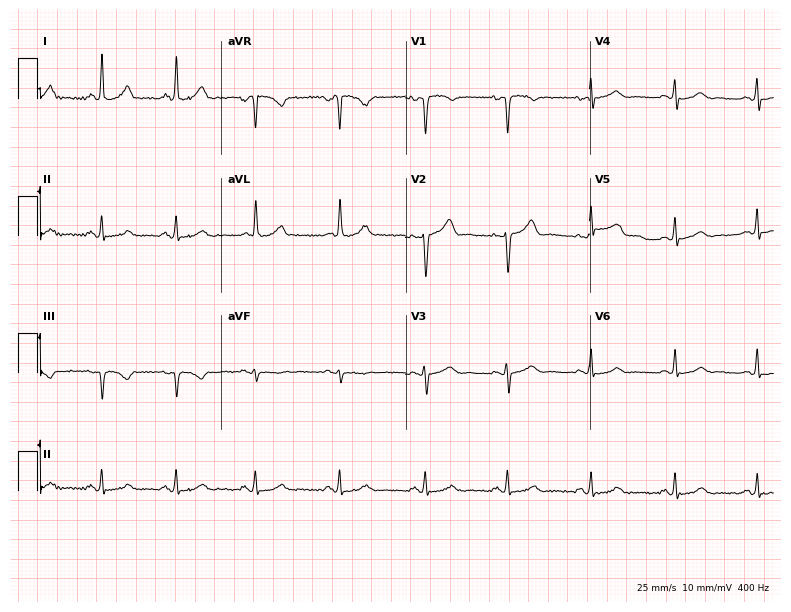
Resting 12-lead electrocardiogram (7.5-second recording at 400 Hz). Patient: a 45-year-old female. None of these six findings is recorded: first-degree AV block, right bundle branch block (RBBB), left bundle branch block (LBBB), sinus bradycardia, atrial fibrillation (AF), sinus tachycardia.